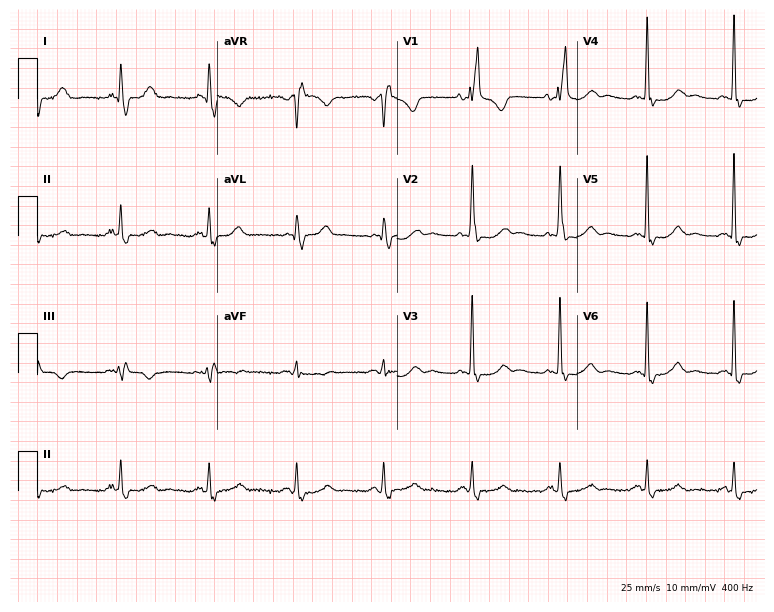
Standard 12-lead ECG recorded from a woman, 68 years old (7.3-second recording at 400 Hz). The tracing shows right bundle branch block (RBBB).